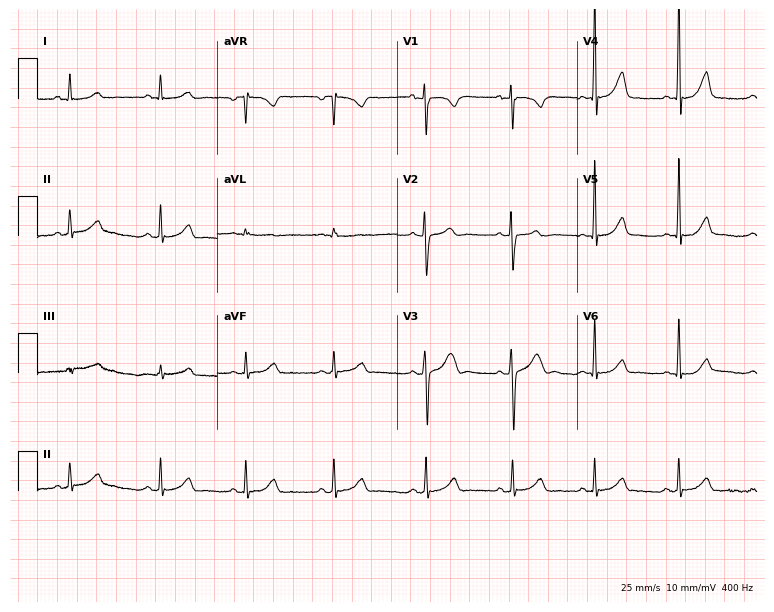
12-lead ECG from a 77-year-old male (7.3-second recording at 400 Hz). Recorded interpretation: within normal limits.